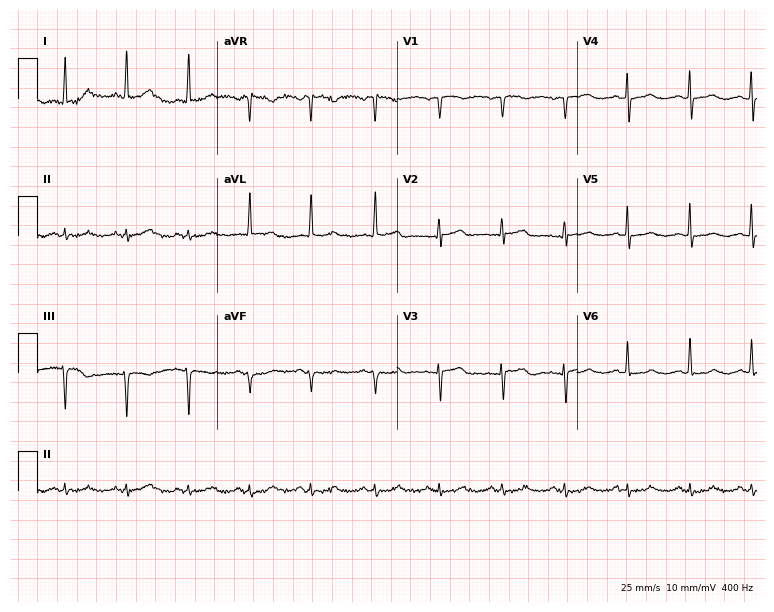
Resting 12-lead electrocardiogram. Patient: a 72-year-old female. None of these six findings is recorded: first-degree AV block, right bundle branch block, left bundle branch block, sinus bradycardia, atrial fibrillation, sinus tachycardia.